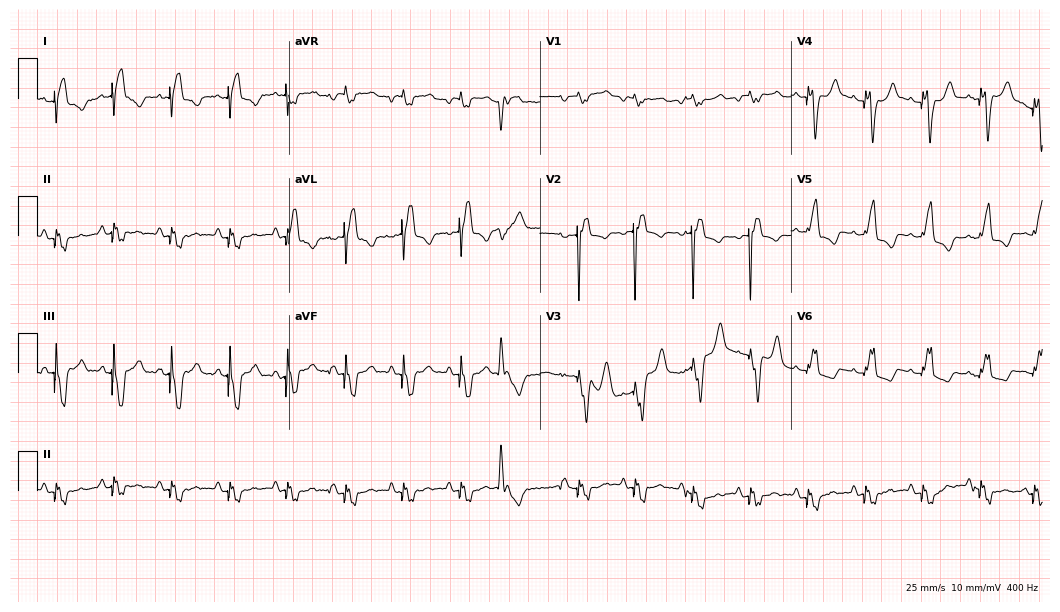
Electrocardiogram (10.2-second recording at 400 Hz), a male patient, 65 years old. Of the six screened findings (first-degree AV block, right bundle branch block (RBBB), left bundle branch block (LBBB), sinus bradycardia, atrial fibrillation (AF), sinus tachycardia), none is recorded.